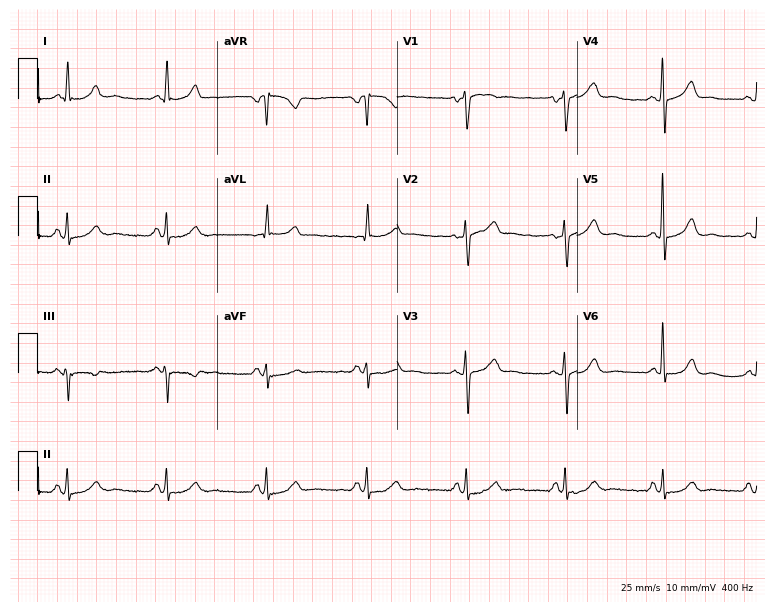
12-lead ECG from a 60-year-old female patient (7.3-second recording at 400 Hz). No first-degree AV block, right bundle branch block, left bundle branch block, sinus bradycardia, atrial fibrillation or sinus tachycardia recorded for this tracing.